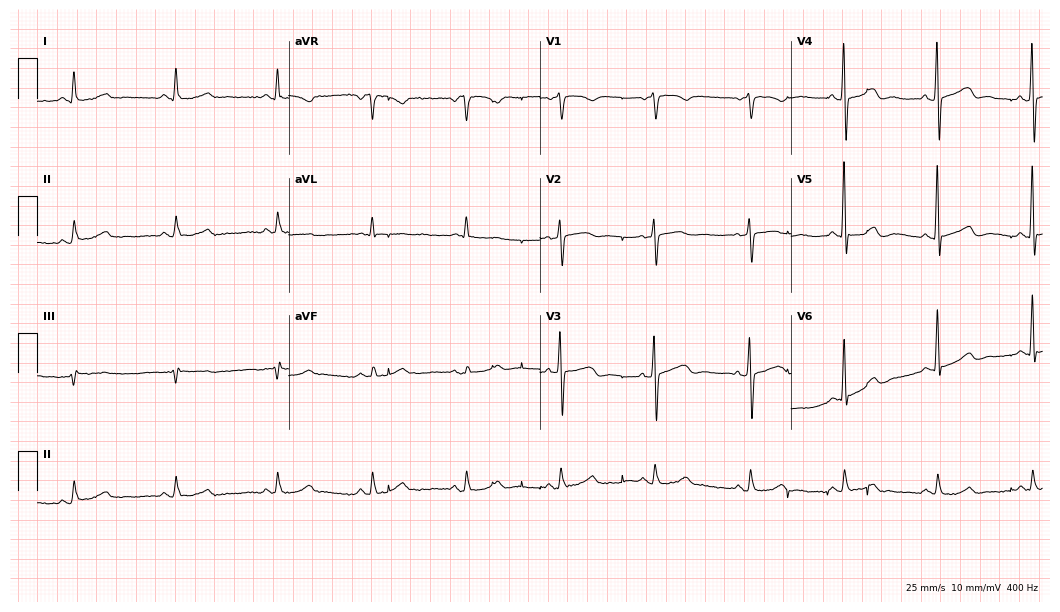
ECG — a 66-year-old woman. Screened for six findings — first-degree AV block, right bundle branch block (RBBB), left bundle branch block (LBBB), sinus bradycardia, atrial fibrillation (AF), sinus tachycardia — none is recorded.